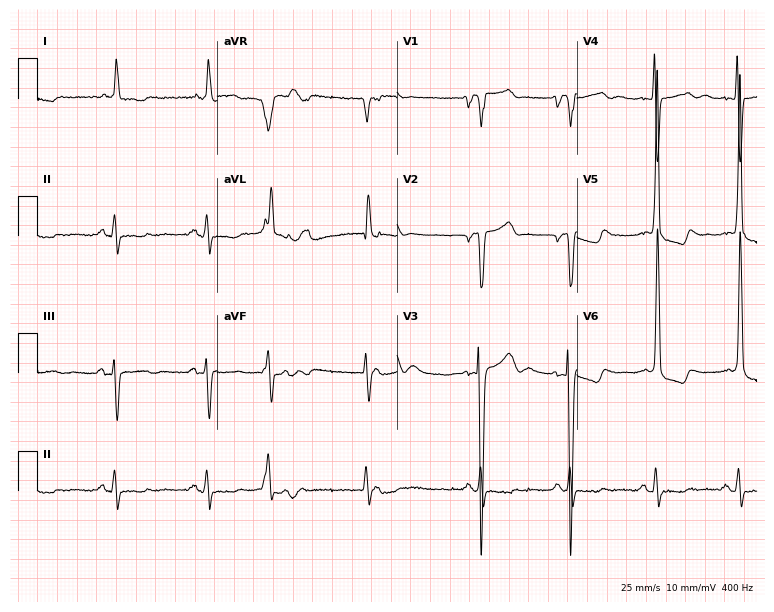
Standard 12-lead ECG recorded from a 69-year-old male patient. None of these six findings is recorded: first-degree AV block, right bundle branch block (RBBB), left bundle branch block (LBBB), sinus bradycardia, atrial fibrillation (AF), sinus tachycardia. Only these six findings were labelled.